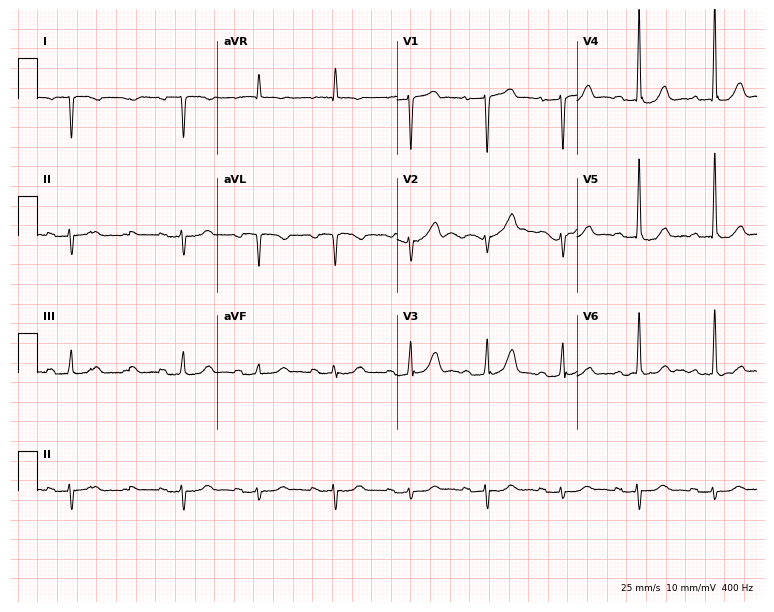
12-lead ECG from a 73-year-old female (7.3-second recording at 400 Hz). No first-degree AV block, right bundle branch block, left bundle branch block, sinus bradycardia, atrial fibrillation or sinus tachycardia recorded for this tracing.